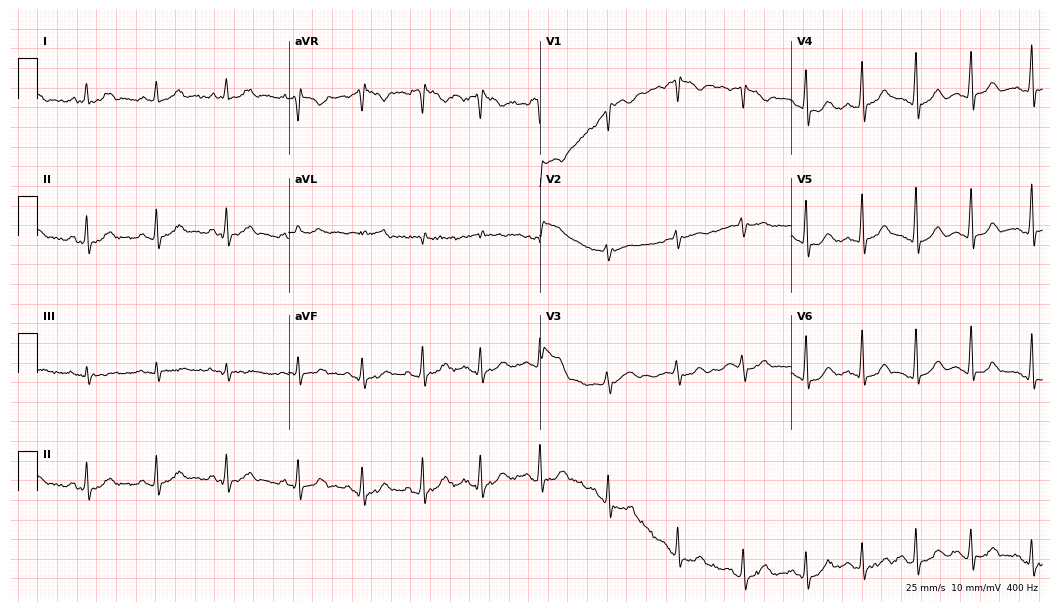
Resting 12-lead electrocardiogram. Patient: a female, 22 years old. Read as a normal ECG.